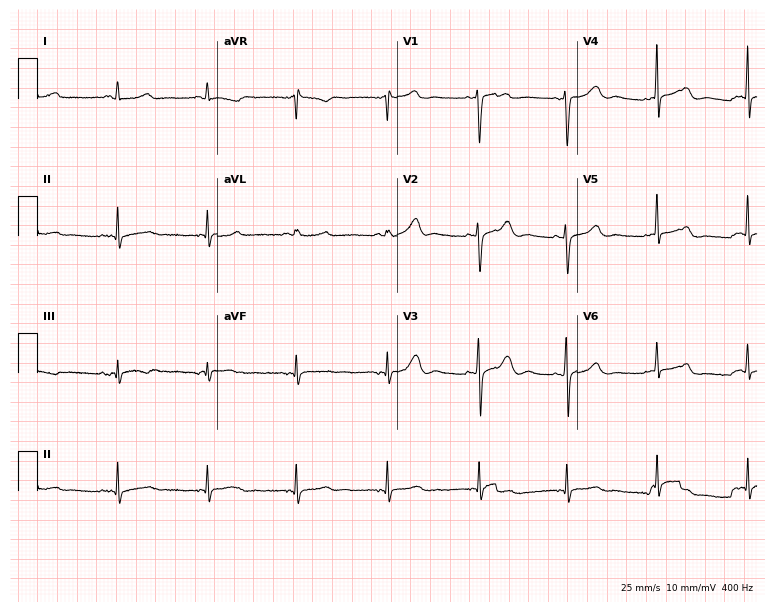
Electrocardiogram, a female patient, 49 years old. Of the six screened findings (first-degree AV block, right bundle branch block, left bundle branch block, sinus bradycardia, atrial fibrillation, sinus tachycardia), none is recorded.